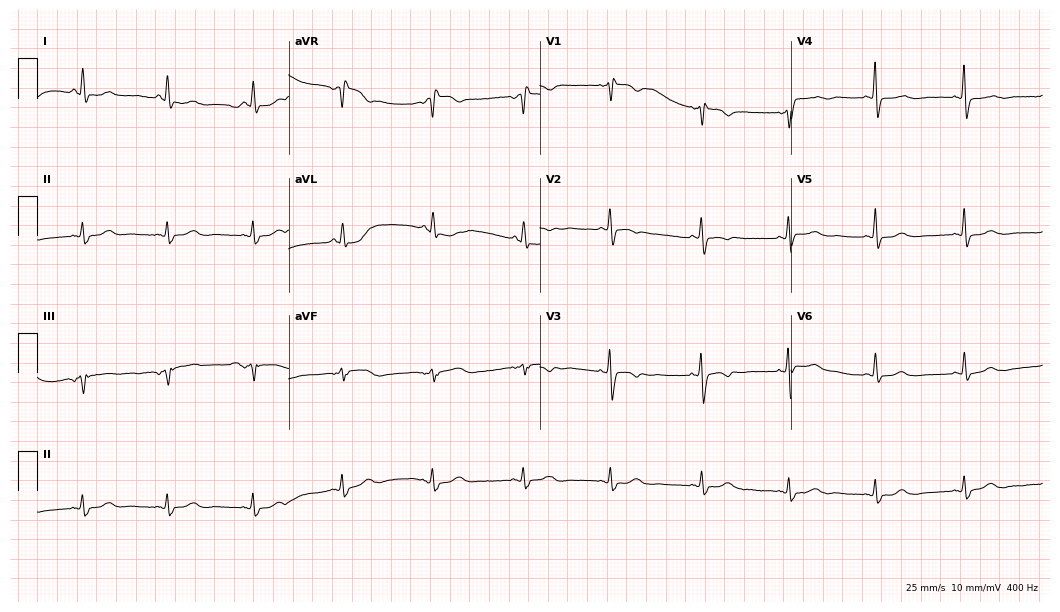
Electrocardiogram, a 64-year-old woman. Of the six screened findings (first-degree AV block, right bundle branch block (RBBB), left bundle branch block (LBBB), sinus bradycardia, atrial fibrillation (AF), sinus tachycardia), none is recorded.